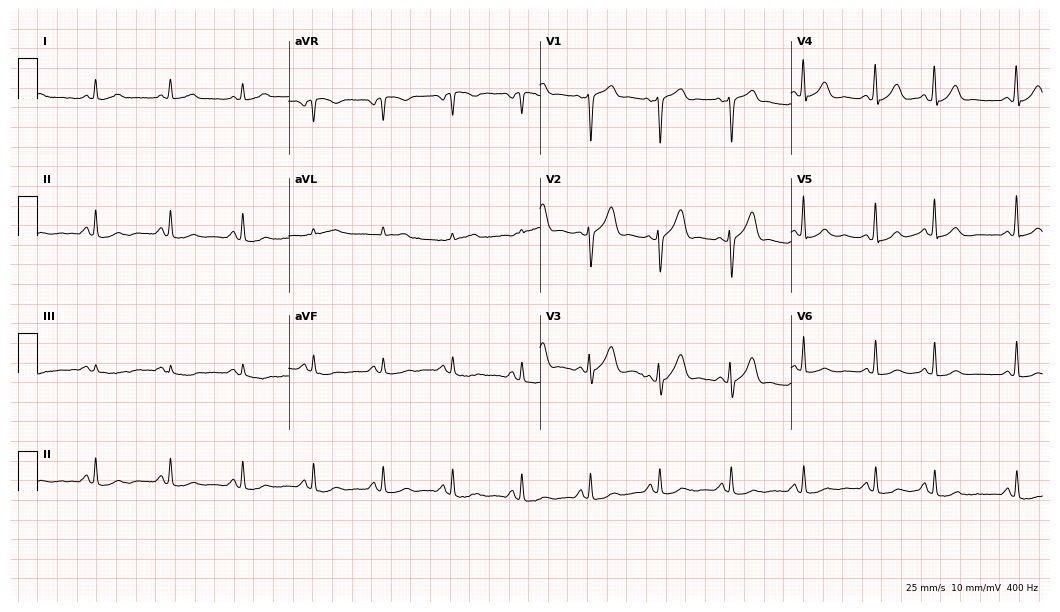
ECG (10.2-second recording at 400 Hz) — a male patient, 61 years old. Labelled as a normal ECG.